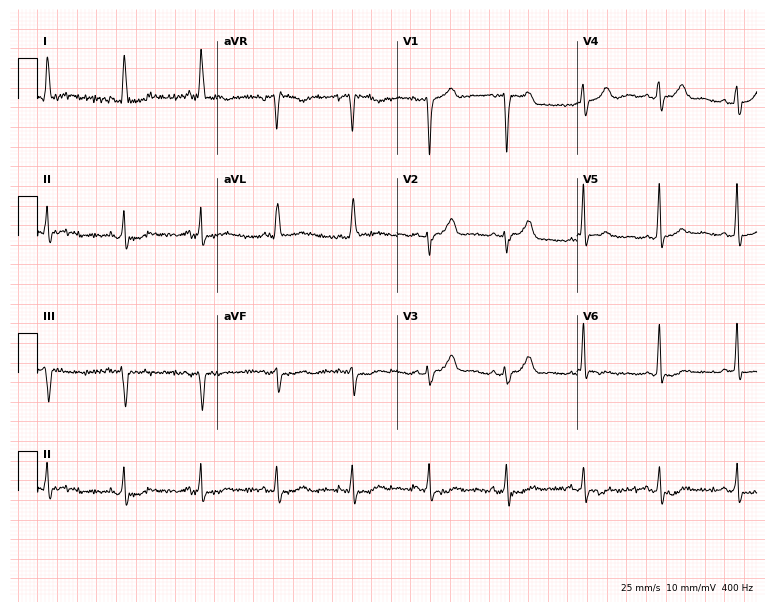
Resting 12-lead electrocardiogram. Patient: a 62-year-old female. None of these six findings is recorded: first-degree AV block, right bundle branch block (RBBB), left bundle branch block (LBBB), sinus bradycardia, atrial fibrillation (AF), sinus tachycardia.